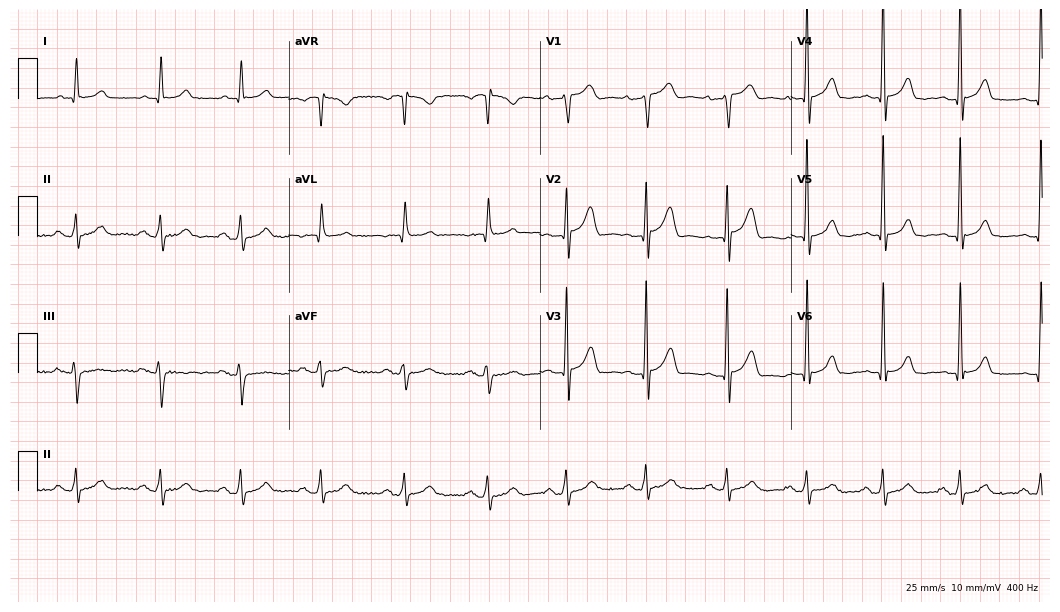
Standard 12-lead ECG recorded from a male patient, 57 years old (10.2-second recording at 400 Hz). None of these six findings is recorded: first-degree AV block, right bundle branch block (RBBB), left bundle branch block (LBBB), sinus bradycardia, atrial fibrillation (AF), sinus tachycardia. Only these six findings were labelled.